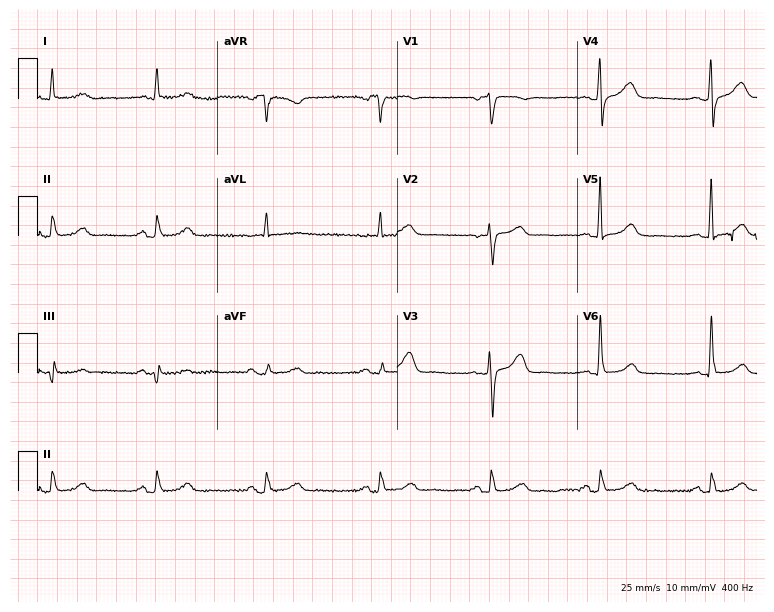
Resting 12-lead electrocardiogram (7.3-second recording at 400 Hz). Patient: a 70-year-old male. Read as a normal ECG.